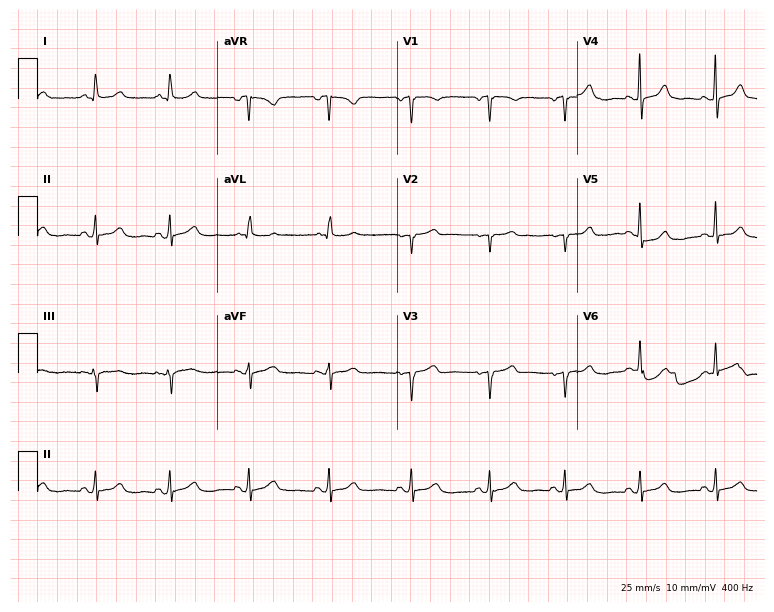
Resting 12-lead electrocardiogram. Patient: a woman, 75 years old. Read as a normal ECG.